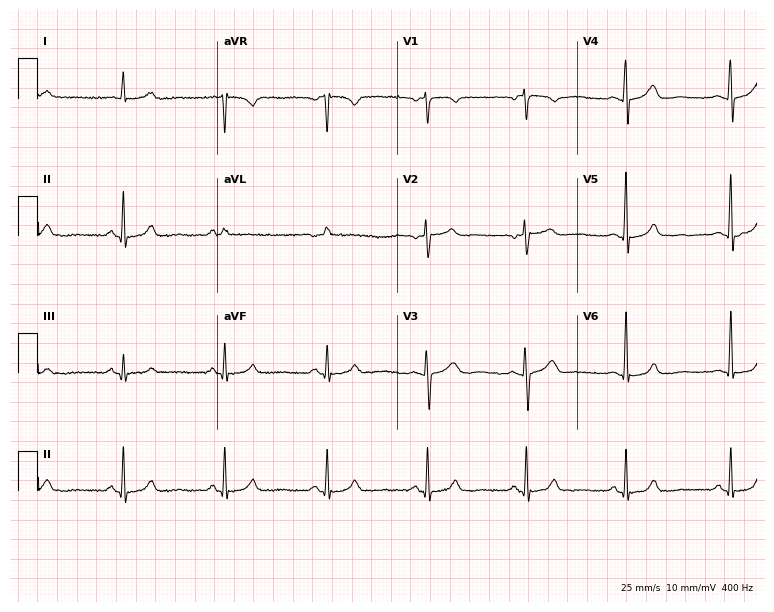
Electrocardiogram, a 61-year-old female. Of the six screened findings (first-degree AV block, right bundle branch block, left bundle branch block, sinus bradycardia, atrial fibrillation, sinus tachycardia), none is recorded.